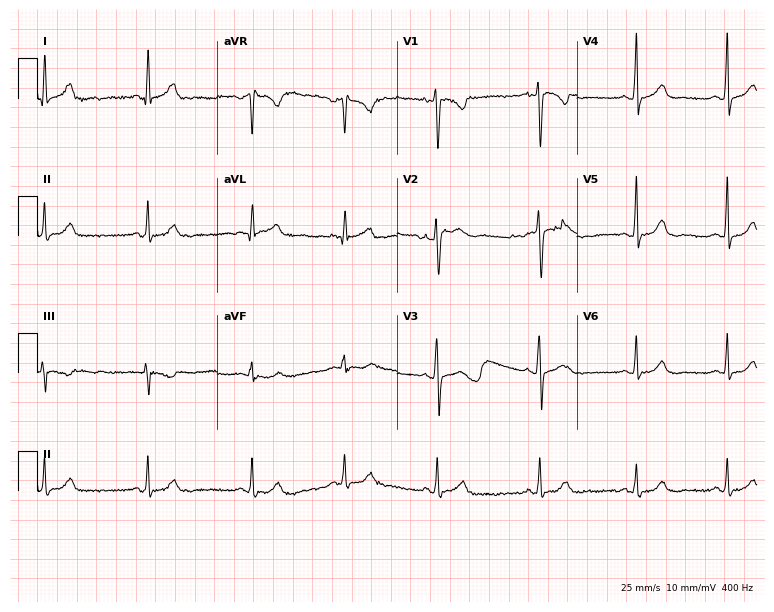
Standard 12-lead ECG recorded from a female, 26 years old. None of these six findings is recorded: first-degree AV block, right bundle branch block (RBBB), left bundle branch block (LBBB), sinus bradycardia, atrial fibrillation (AF), sinus tachycardia. Only these six findings were labelled.